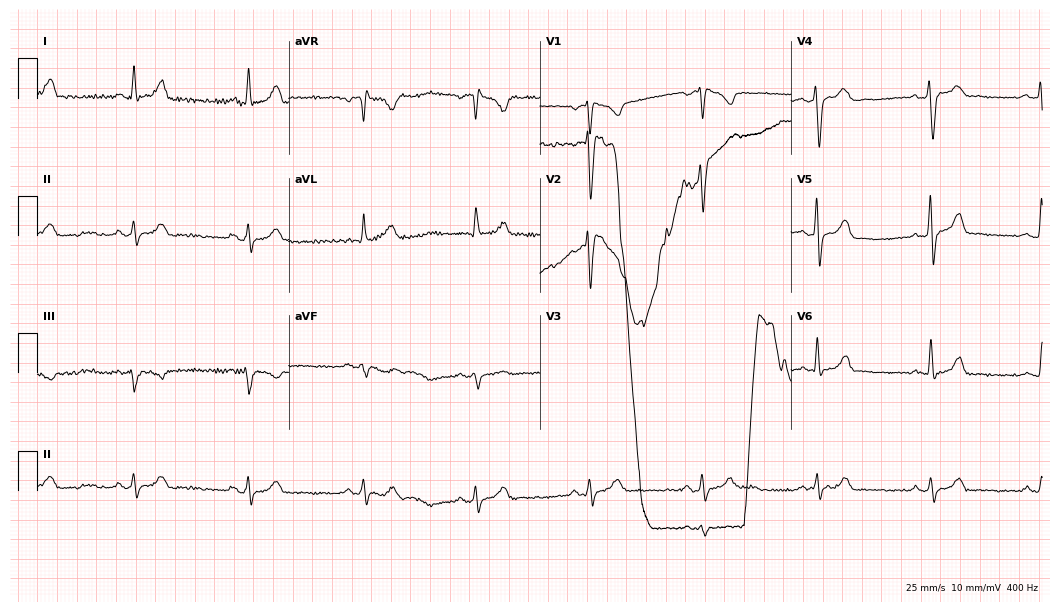
12-lead ECG from a man, 42 years old (10.2-second recording at 400 Hz). No first-degree AV block, right bundle branch block (RBBB), left bundle branch block (LBBB), sinus bradycardia, atrial fibrillation (AF) or sinus tachycardia recorded for this tracing.